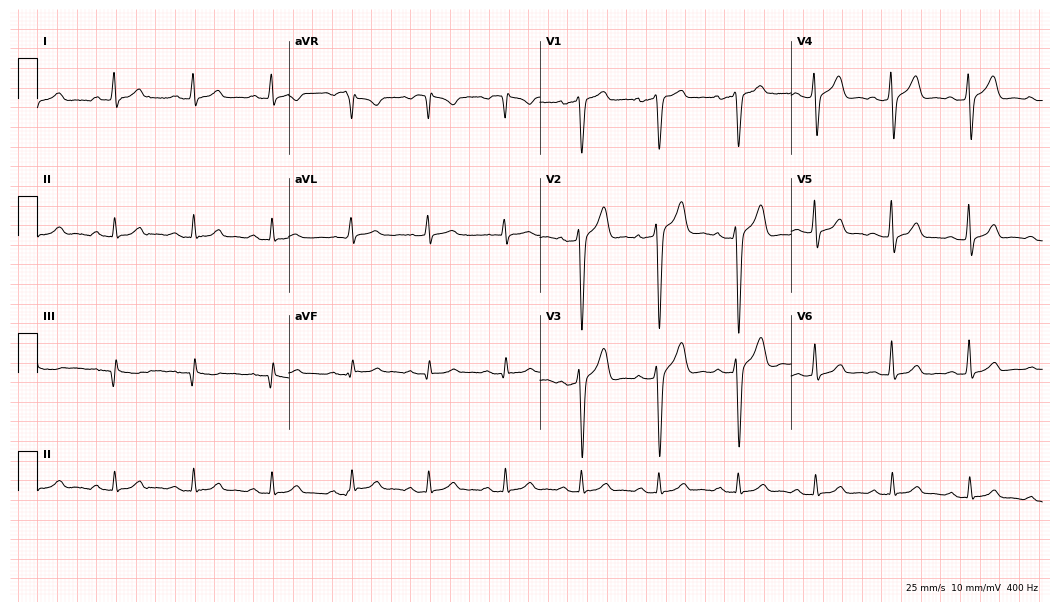
Standard 12-lead ECG recorded from a 44-year-old male patient. The tracing shows first-degree AV block.